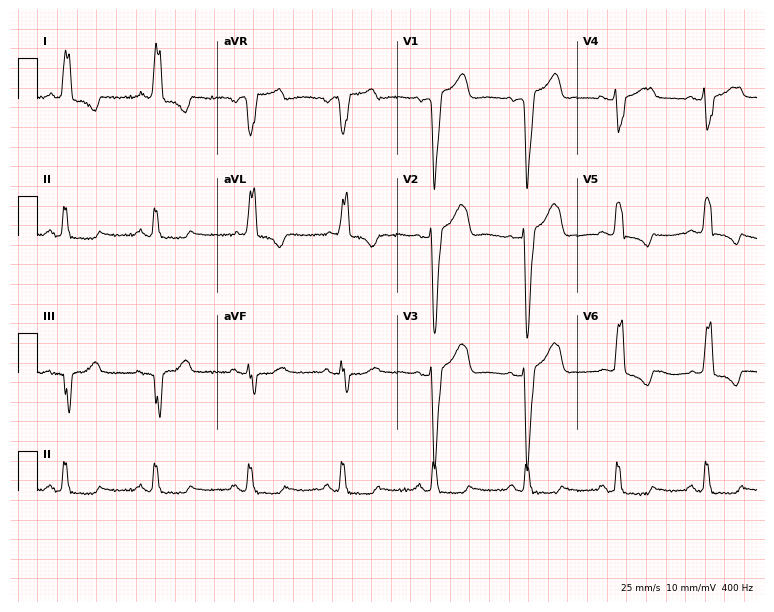
ECG — a woman, 85 years old. Findings include left bundle branch block.